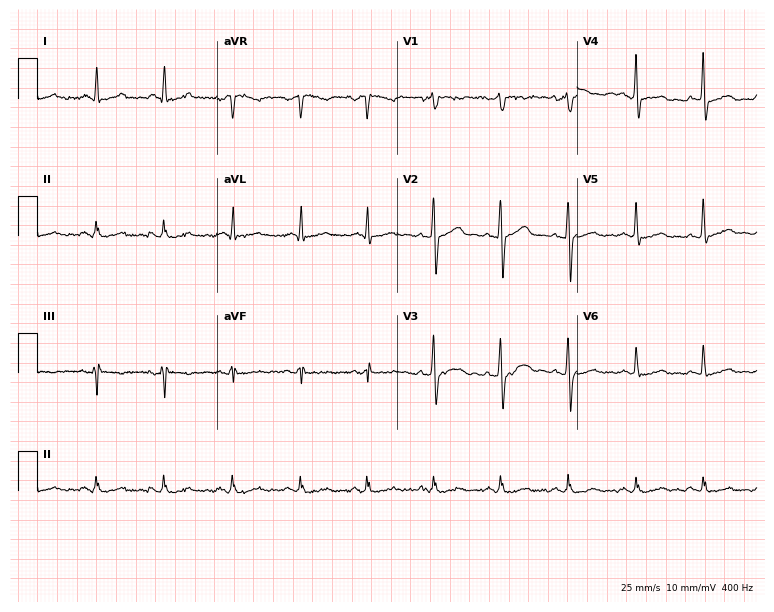
ECG — a 58-year-old man. Labelled as a normal ECG.